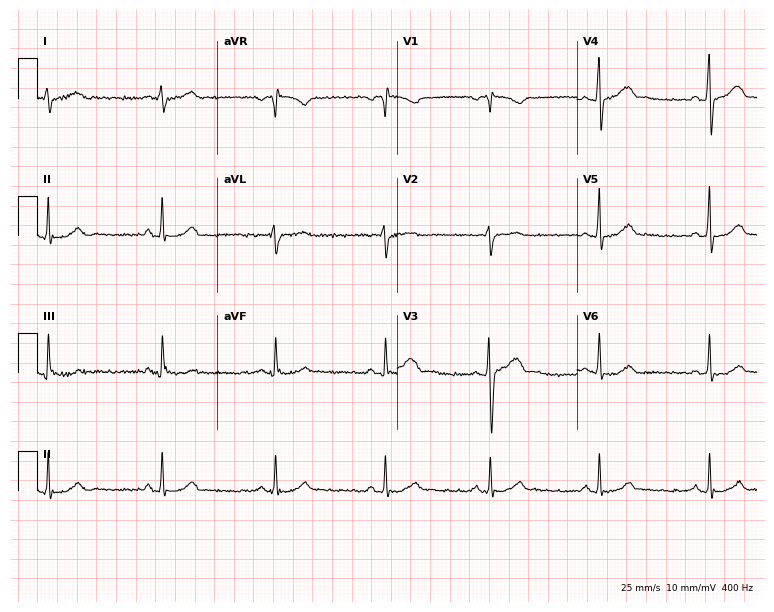
ECG (7.3-second recording at 400 Hz) — a male patient, 51 years old. Screened for six findings — first-degree AV block, right bundle branch block, left bundle branch block, sinus bradycardia, atrial fibrillation, sinus tachycardia — none is recorded.